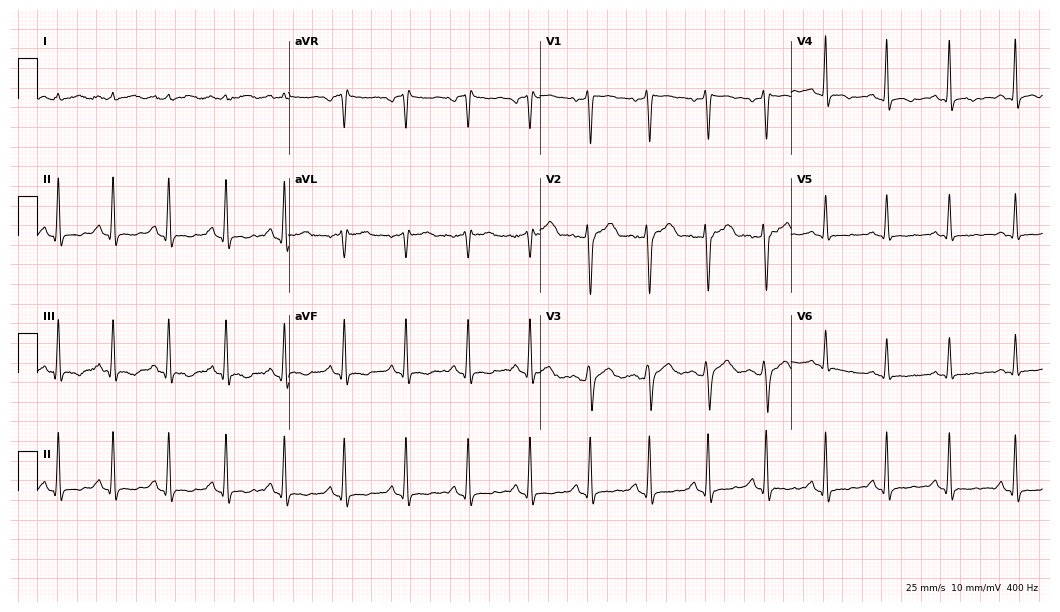
ECG — a male patient, 35 years old. Screened for six findings — first-degree AV block, right bundle branch block (RBBB), left bundle branch block (LBBB), sinus bradycardia, atrial fibrillation (AF), sinus tachycardia — none is recorded.